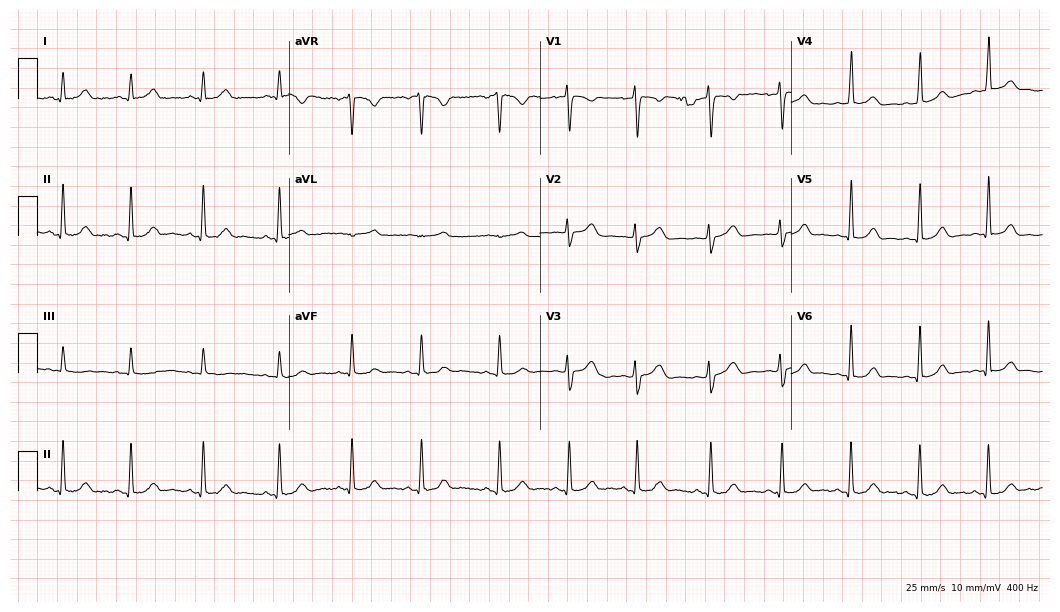
12-lead ECG from a 23-year-old female patient (10.2-second recording at 400 Hz). No first-degree AV block, right bundle branch block, left bundle branch block, sinus bradycardia, atrial fibrillation or sinus tachycardia recorded for this tracing. Only these six findings were labelled.